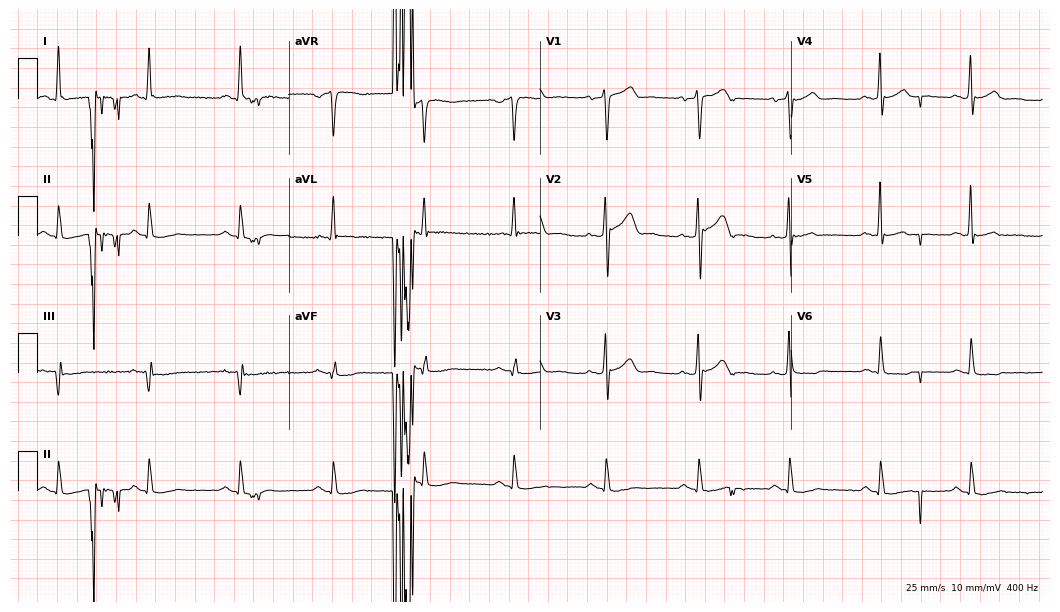
12-lead ECG from a man, 52 years old. Screened for six findings — first-degree AV block, right bundle branch block, left bundle branch block, sinus bradycardia, atrial fibrillation, sinus tachycardia — none is recorded.